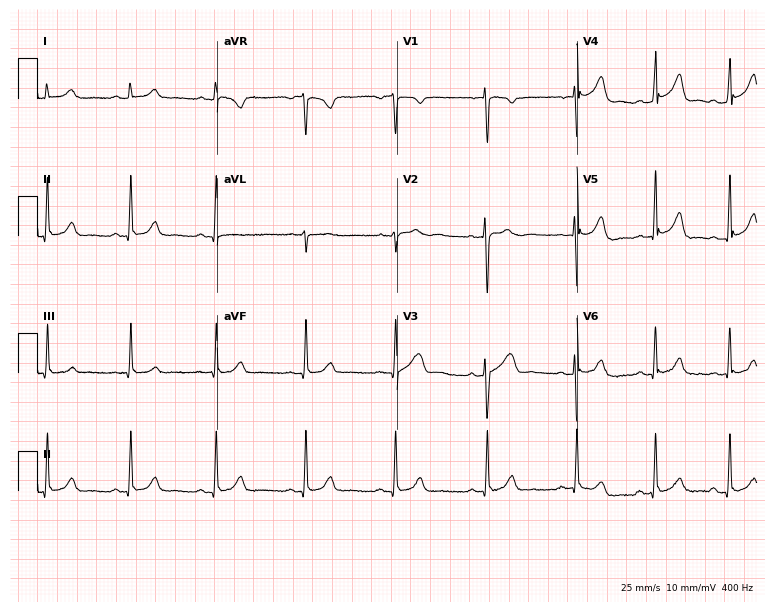
12-lead ECG from a 27-year-old female. Screened for six findings — first-degree AV block, right bundle branch block, left bundle branch block, sinus bradycardia, atrial fibrillation, sinus tachycardia — none is recorded. Only these six findings were labelled.